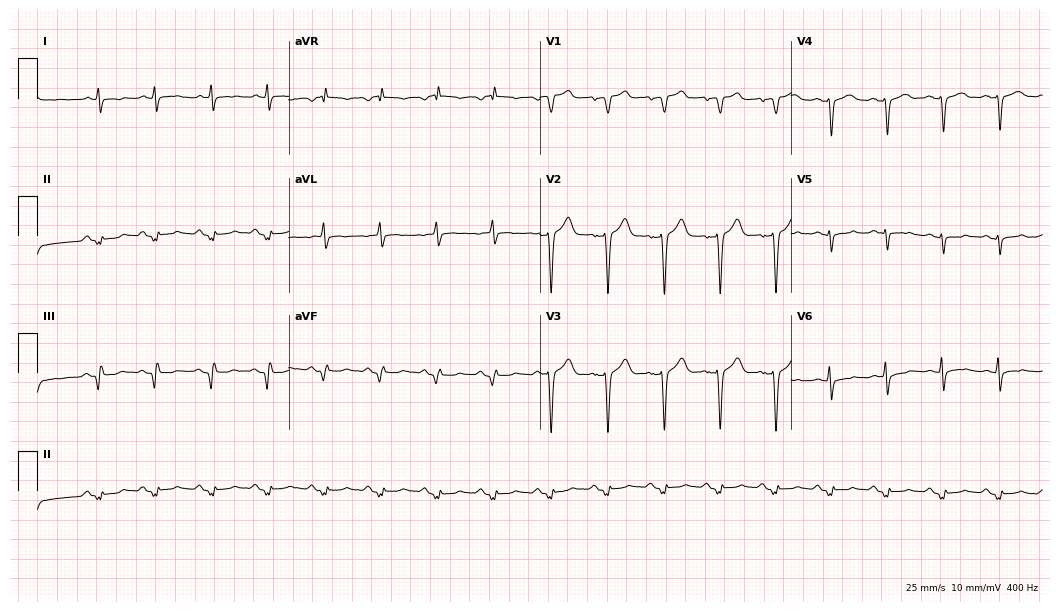
ECG (10.2-second recording at 400 Hz) — a 63-year-old female. Screened for six findings — first-degree AV block, right bundle branch block (RBBB), left bundle branch block (LBBB), sinus bradycardia, atrial fibrillation (AF), sinus tachycardia — none is recorded.